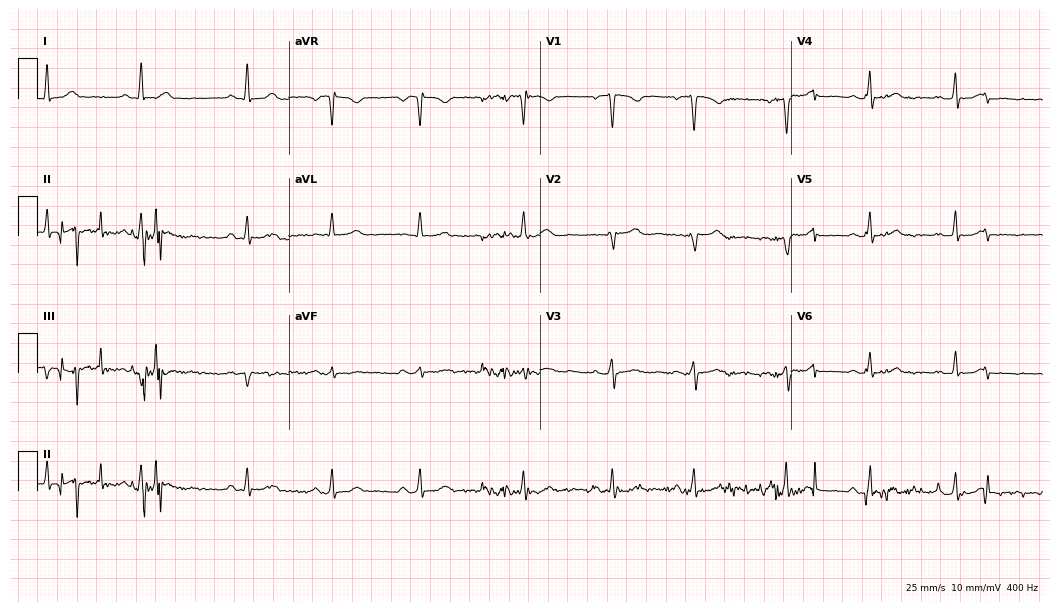
ECG — a female, 27 years old. Labelled as a normal ECG.